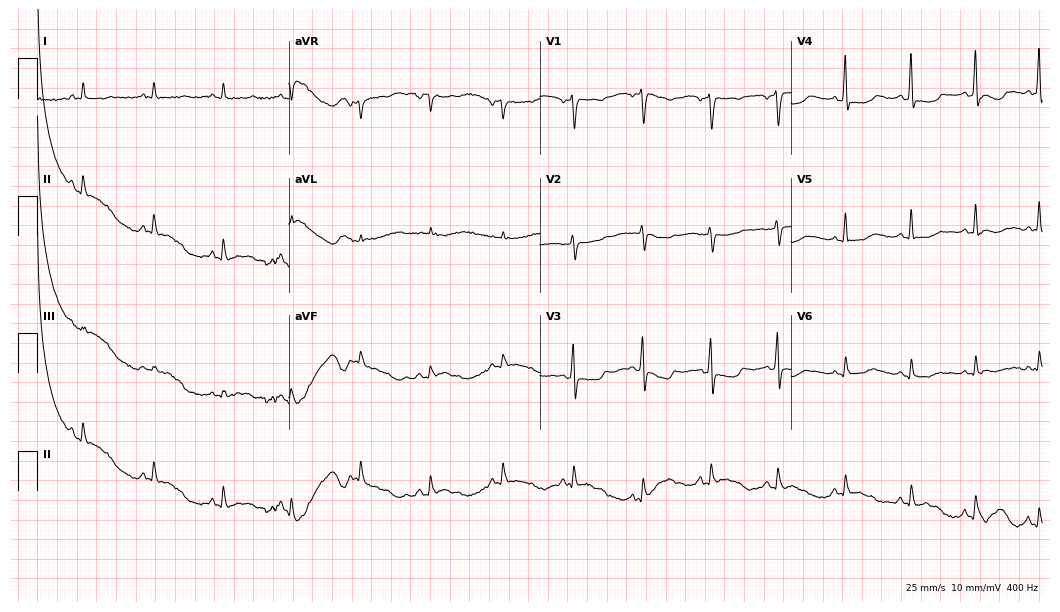
12-lead ECG from a female patient, 63 years old (10.2-second recording at 400 Hz). No first-degree AV block, right bundle branch block, left bundle branch block, sinus bradycardia, atrial fibrillation or sinus tachycardia recorded for this tracing. Only these six findings were labelled.